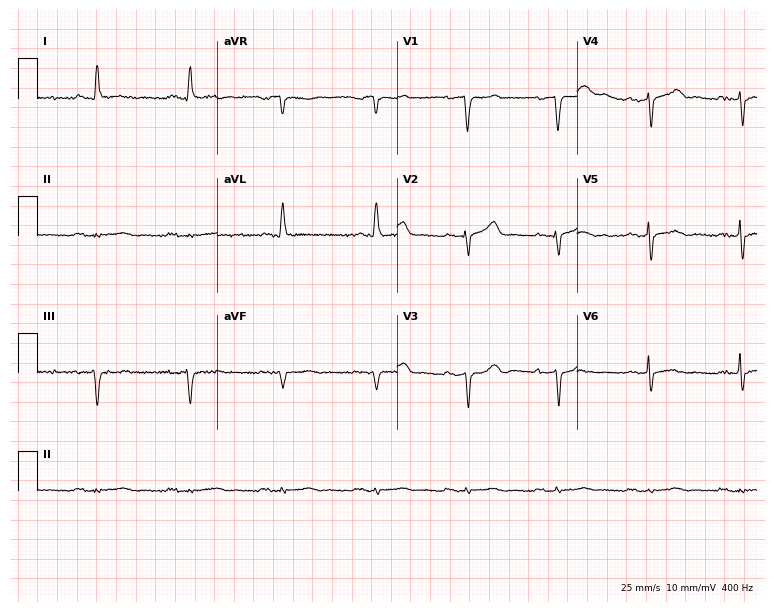
ECG — a male patient, 78 years old. Screened for six findings — first-degree AV block, right bundle branch block (RBBB), left bundle branch block (LBBB), sinus bradycardia, atrial fibrillation (AF), sinus tachycardia — none is recorded. Findings outside these six are not listed.